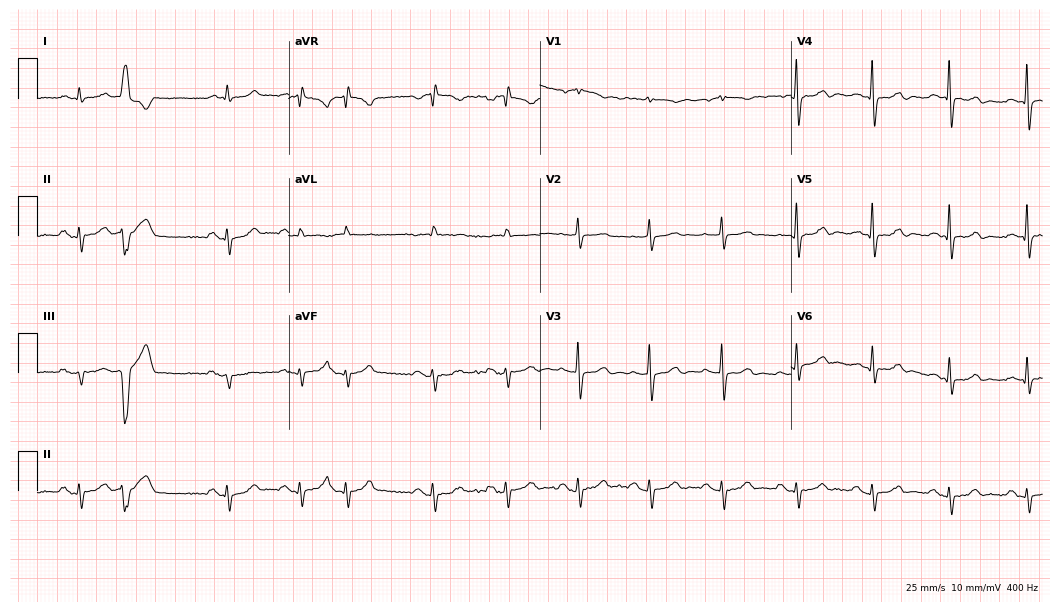
Standard 12-lead ECG recorded from a male, 71 years old (10.2-second recording at 400 Hz). None of these six findings is recorded: first-degree AV block, right bundle branch block, left bundle branch block, sinus bradycardia, atrial fibrillation, sinus tachycardia. Findings outside these six are not listed.